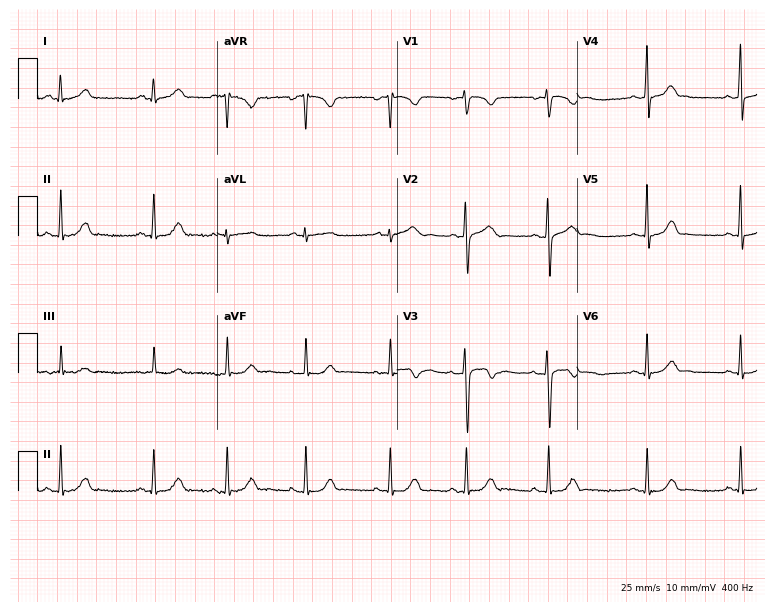
12-lead ECG from a female, 17 years old. Labelled as a normal ECG.